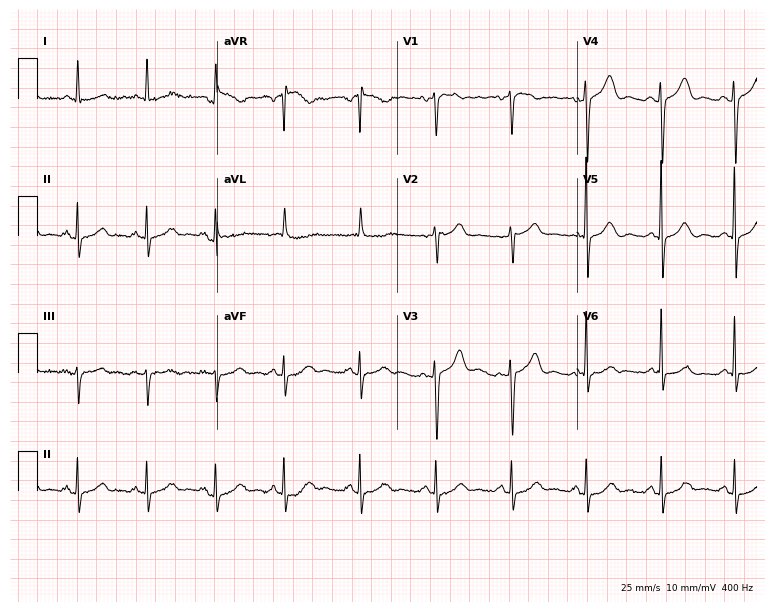
ECG (7.3-second recording at 400 Hz) — an 83-year-old female patient. Screened for six findings — first-degree AV block, right bundle branch block, left bundle branch block, sinus bradycardia, atrial fibrillation, sinus tachycardia — none is recorded.